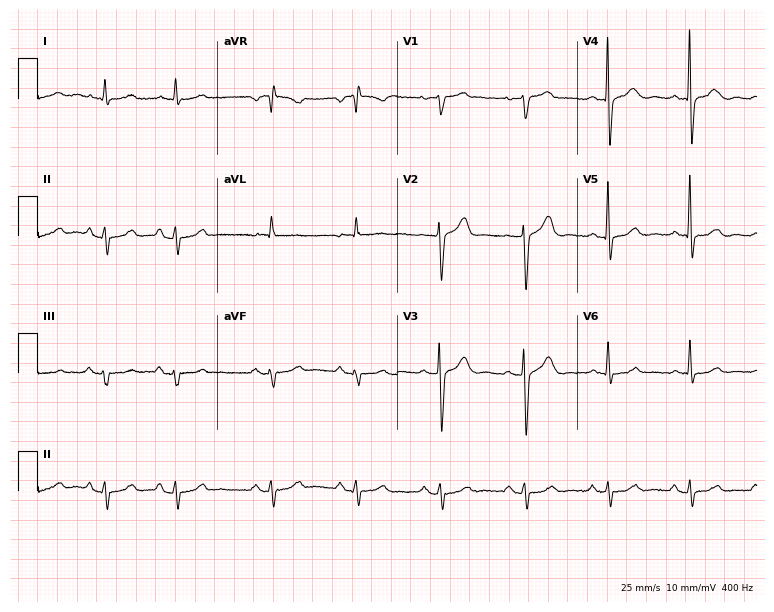
Resting 12-lead electrocardiogram. Patient: a male, 70 years old. None of these six findings is recorded: first-degree AV block, right bundle branch block (RBBB), left bundle branch block (LBBB), sinus bradycardia, atrial fibrillation (AF), sinus tachycardia.